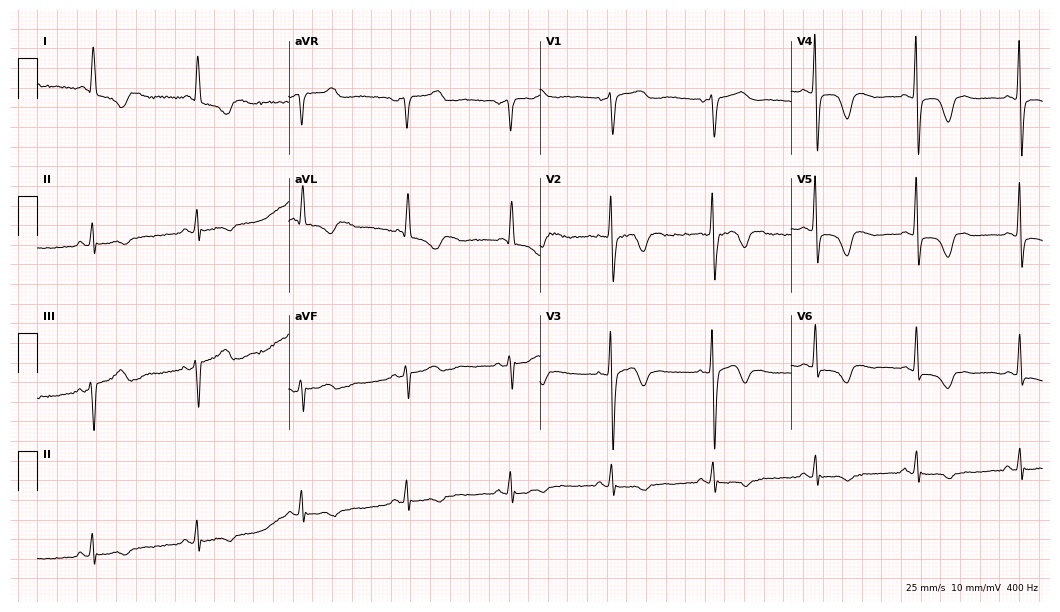
12-lead ECG from a 74-year-old female. No first-degree AV block, right bundle branch block, left bundle branch block, sinus bradycardia, atrial fibrillation or sinus tachycardia recorded for this tracing. Other findings, if any, are not listed.